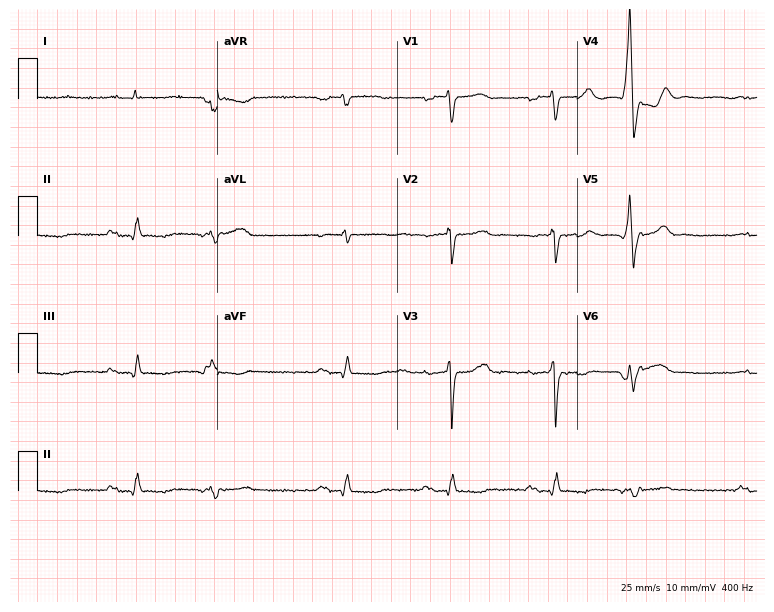
12-lead ECG from a 65-year-old man. No first-degree AV block, right bundle branch block, left bundle branch block, sinus bradycardia, atrial fibrillation or sinus tachycardia recorded for this tracing.